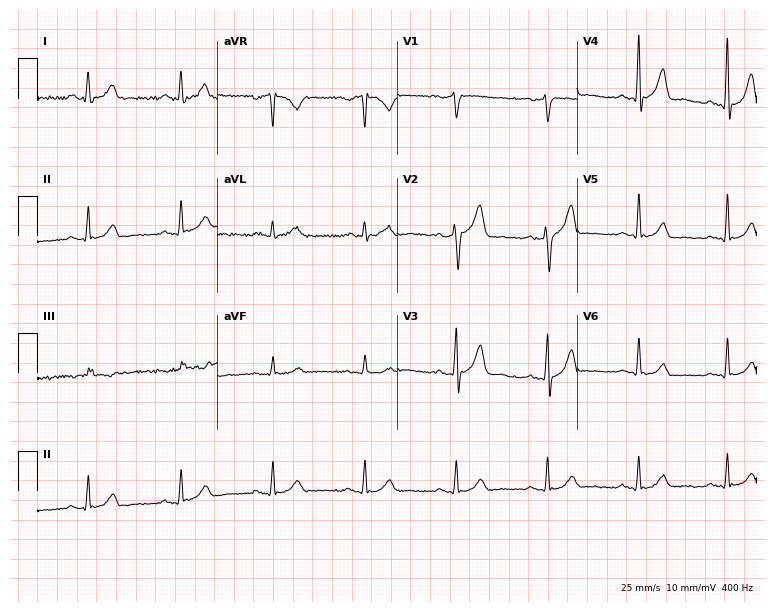
Resting 12-lead electrocardiogram. Patient: a 38-year-old man. None of these six findings is recorded: first-degree AV block, right bundle branch block, left bundle branch block, sinus bradycardia, atrial fibrillation, sinus tachycardia. Only these six findings were labelled.